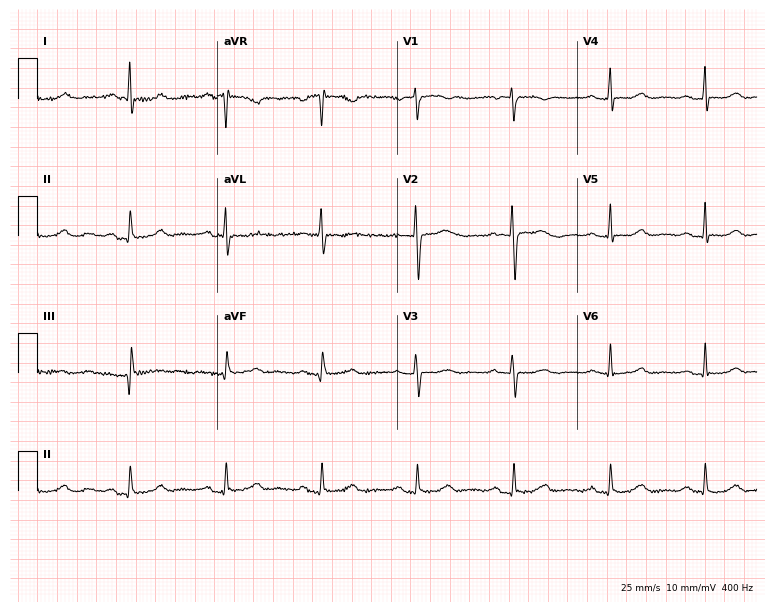
Electrocardiogram (7.3-second recording at 400 Hz), a 56-year-old female. Of the six screened findings (first-degree AV block, right bundle branch block (RBBB), left bundle branch block (LBBB), sinus bradycardia, atrial fibrillation (AF), sinus tachycardia), none is recorded.